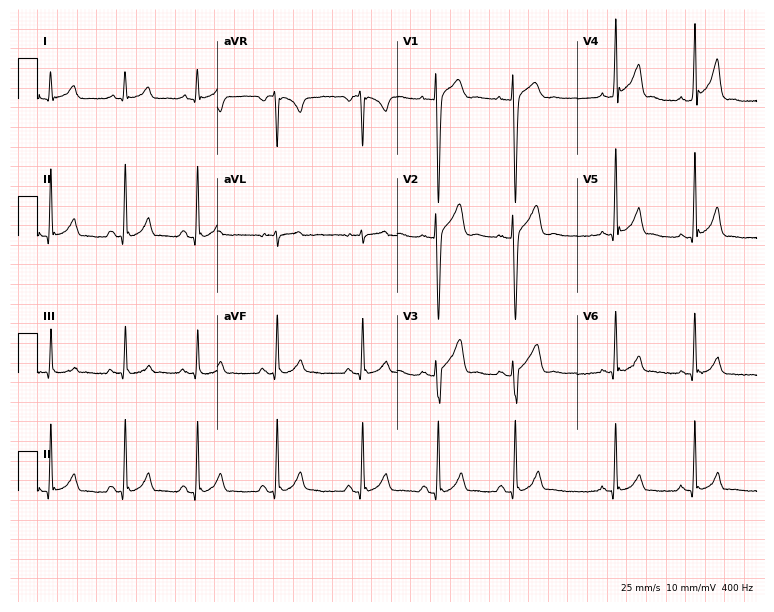
Resting 12-lead electrocardiogram (7.3-second recording at 400 Hz). Patient: a man, 20 years old. None of these six findings is recorded: first-degree AV block, right bundle branch block, left bundle branch block, sinus bradycardia, atrial fibrillation, sinus tachycardia. Findings outside these six are not listed.